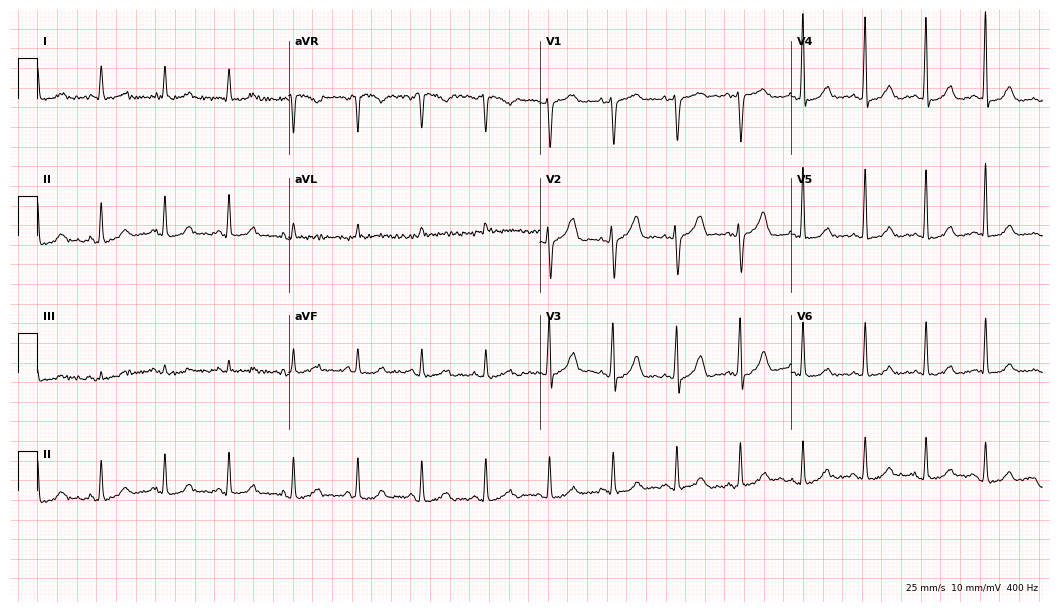
12-lead ECG from a woman, 61 years old. Recorded interpretation: within normal limits.